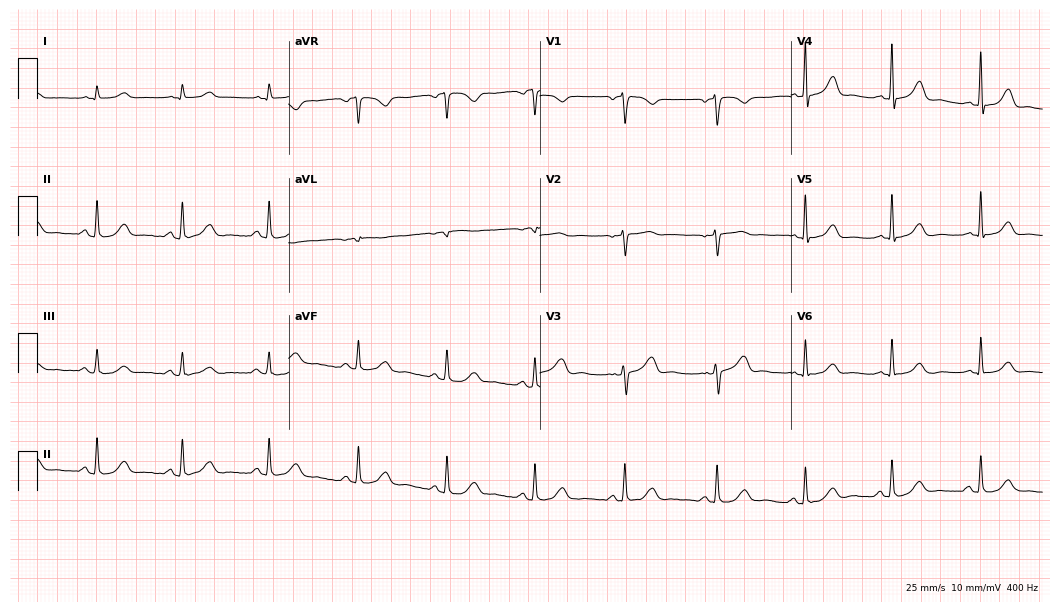
Standard 12-lead ECG recorded from a 59-year-old woman (10.2-second recording at 400 Hz). Read as a normal ECG.